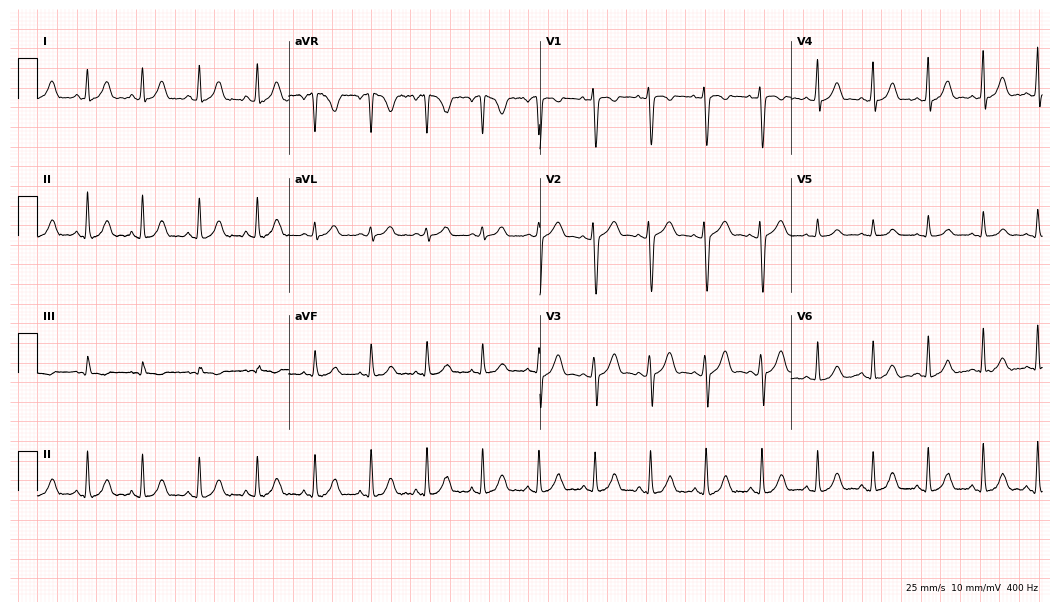
12-lead ECG (10.2-second recording at 400 Hz) from a 34-year-old female patient. Findings include sinus tachycardia (a sinus rate of 100 beats per minute or more).